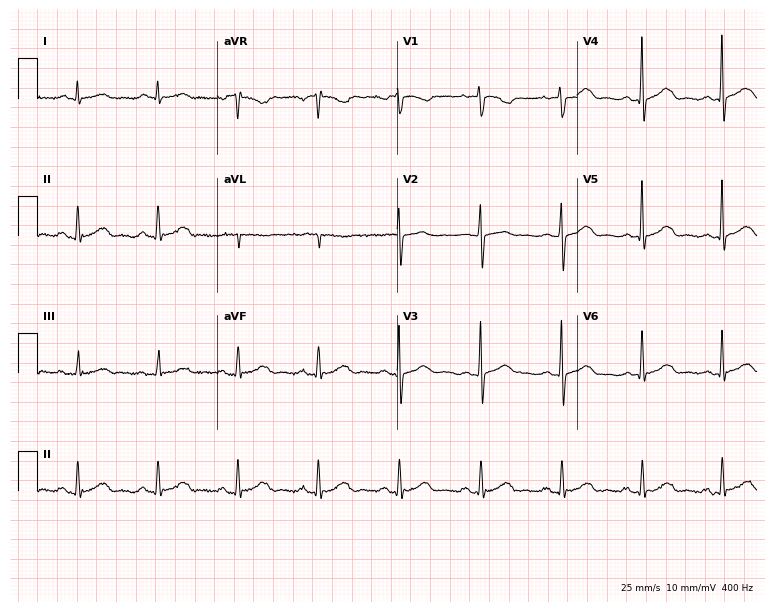
Standard 12-lead ECG recorded from a 67-year-old male (7.3-second recording at 400 Hz). Read as a normal ECG.